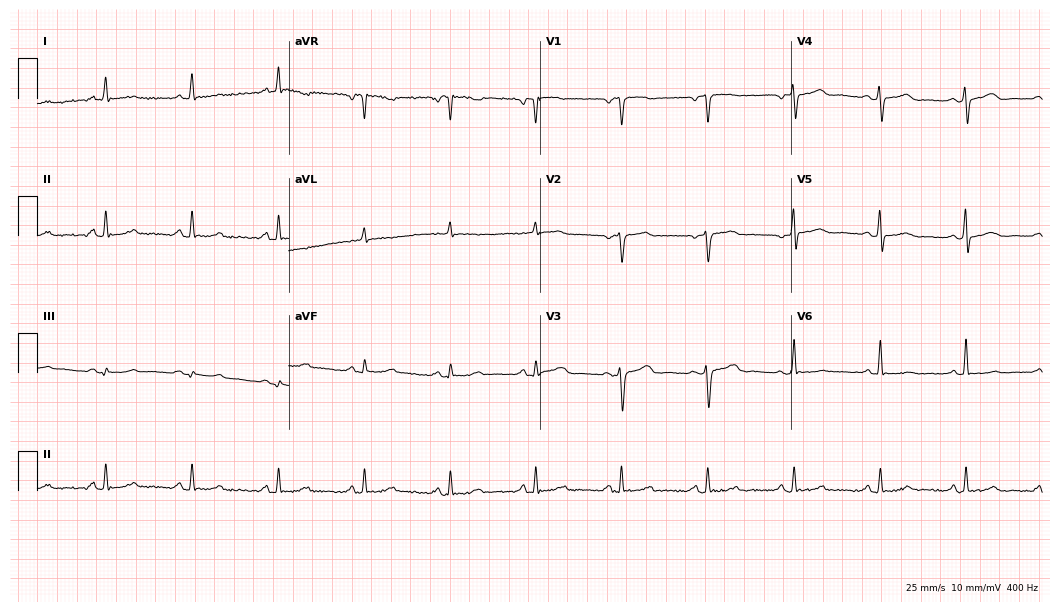
12-lead ECG from a 50-year-old female patient. Recorded interpretation: within normal limits.